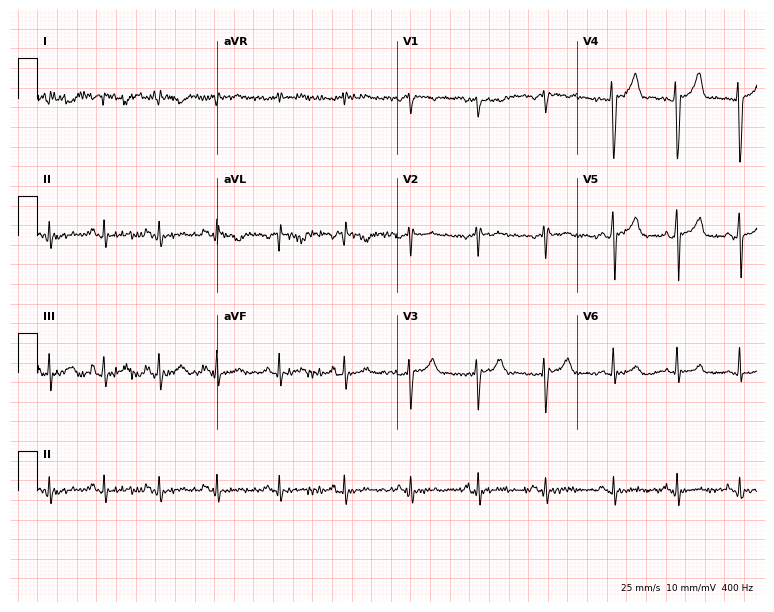
Electrocardiogram (7.3-second recording at 400 Hz), a female, 43 years old. Of the six screened findings (first-degree AV block, right bundle branch block, left bundle branch block, sinus bradycardia, atrial fibrillation, sinus tachycardia), none is recorded.